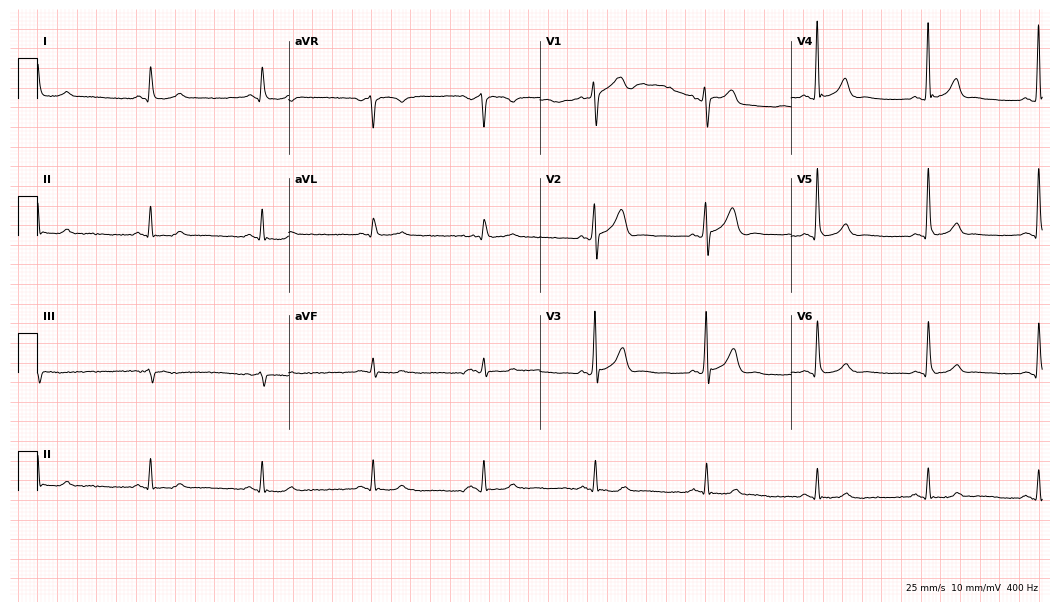
12-lead ECG from a woman, 65 years old. No first-degree AV block, right bundle branch block, left bundle branch block, sinus bradycardia, atrial fibrillation or sinus tachycardia recorded for this tracing.